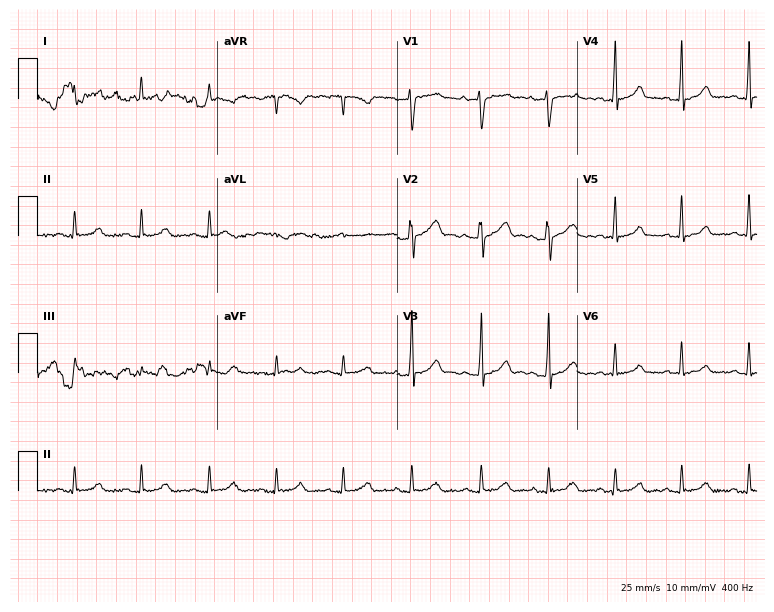
Electrocardiogram, a 28-year-old woman. Of the six screened findings (first-degree AV block, right bundle branch block, left bundle branch block, sinus bradycardia, atrial fibrillation, sinus tachycardia), none is recorded. Other findings, if any, are not listed.